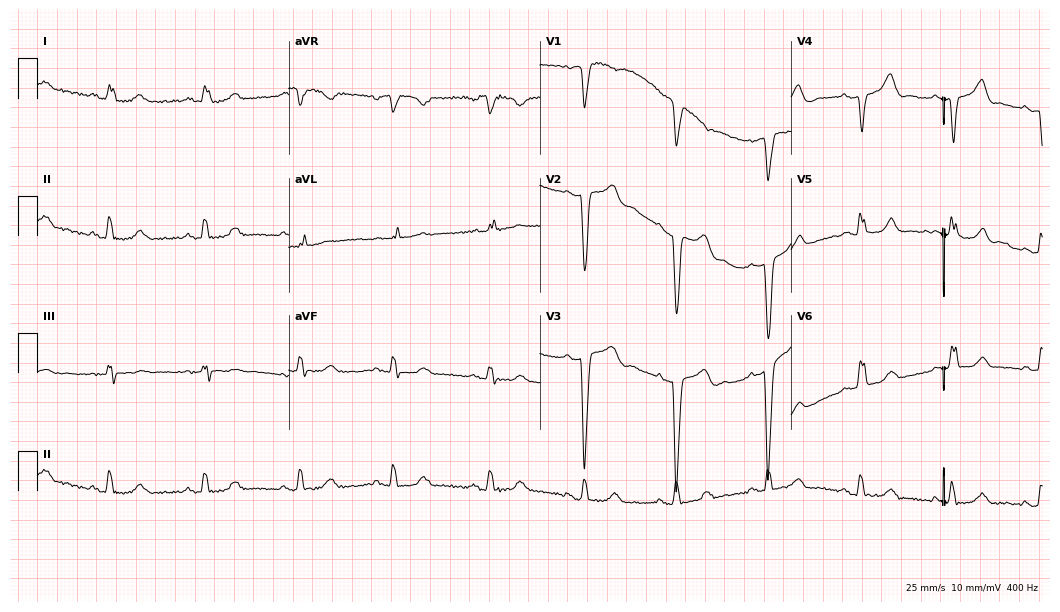
12-lead ECG from a woman, 49 years old (10.2-second recording at 400 Hz). Shows left bundle branch block.